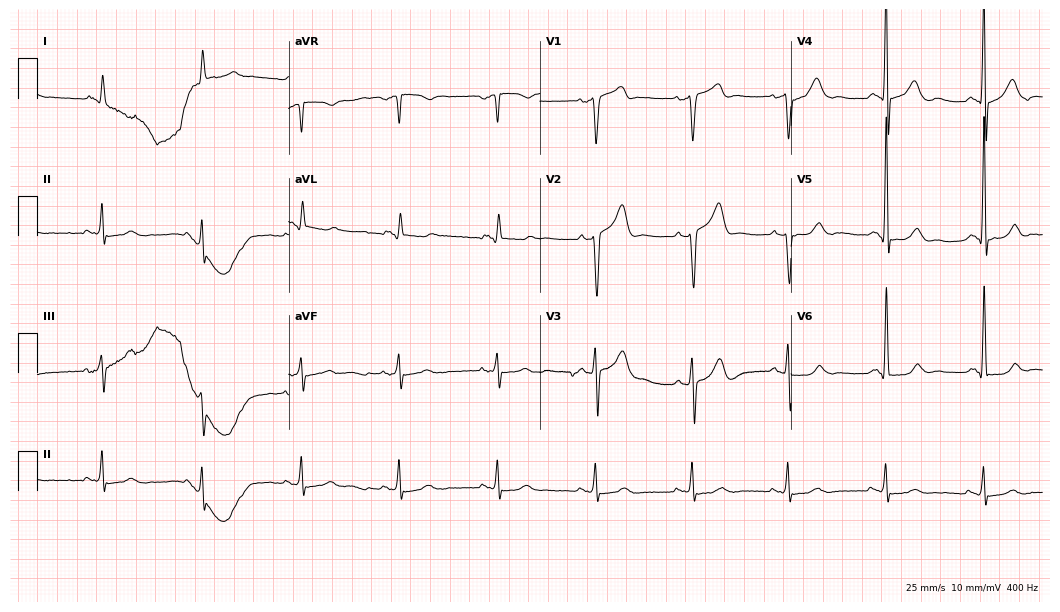
12-lead ECG from a 70-year-old male patient. Recorded interpretation: within normal limits.